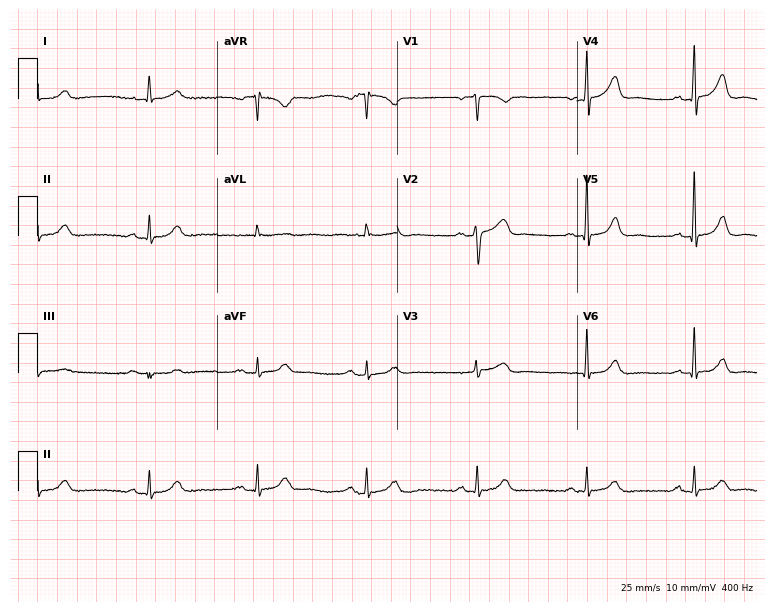
12-lead ECG from a male, 69 years old. Recorded interpretation: within normal limits.